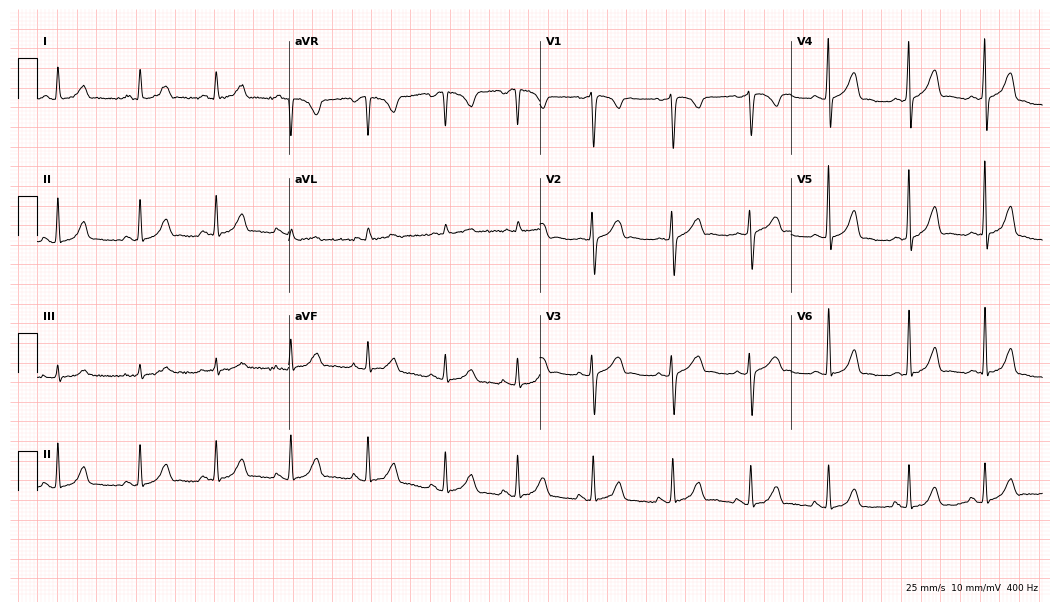
ECG — a 32-year-old female. Labelled as a normal ECG.